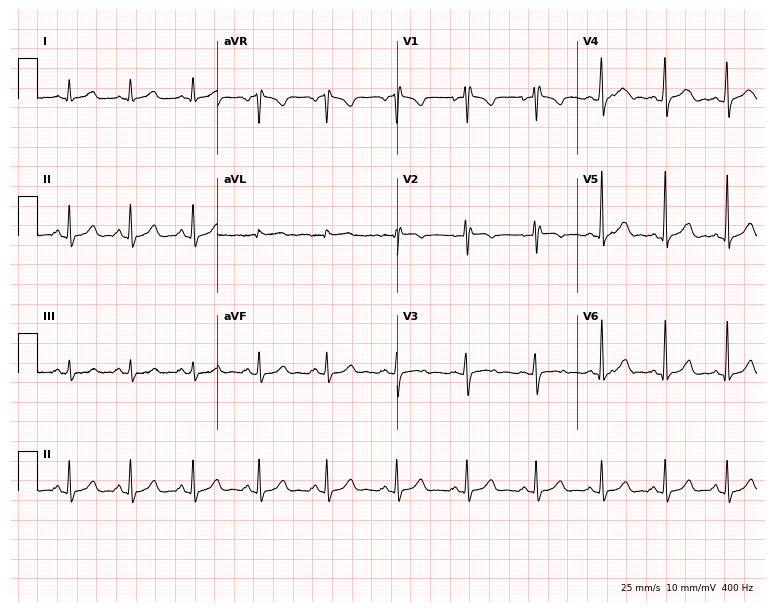
ECG — a female, 31 years old. Screened for six findings — first-degree AV block, right bundle branch block (RBBB), left bundle branch block (LBBB), sinus bradycardia, atrial fibrillation (AF), sinus tachycardia — none is recorded.